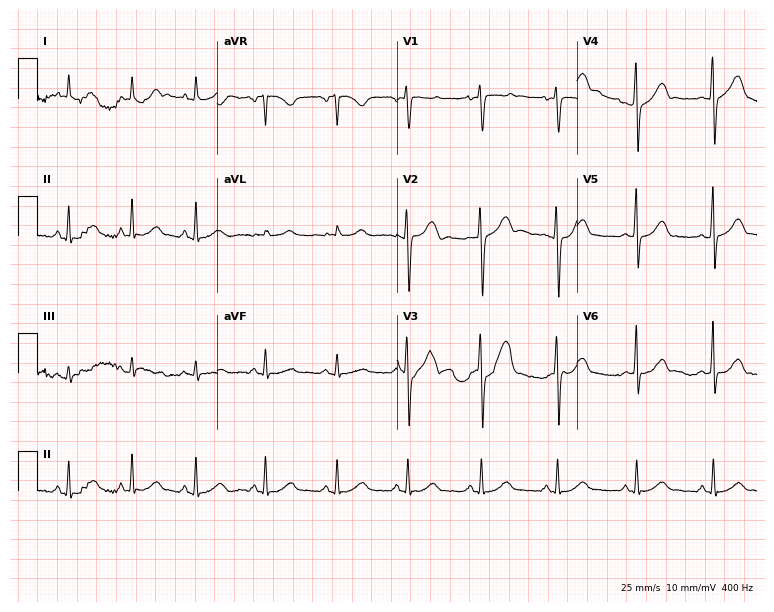
Electrocardiogram (7.3-second recording at 400 Hz), a female, 29 years old. Overall reading on record: normal ECG.